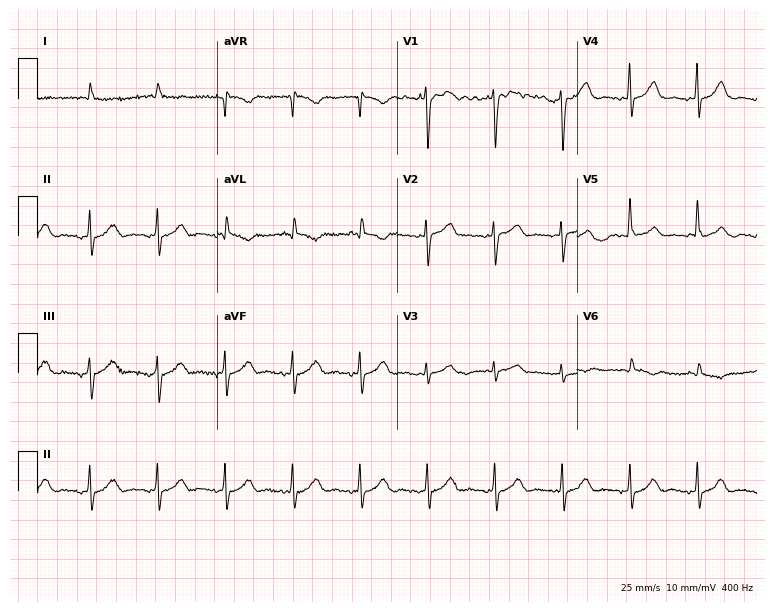
12-lead ECG from a man, 83 years old. Screened for six findings — first-degree AV block, right bundle branch block (RBBB), left bundle branch block (LBBB), sinus bradycardia, atrial fibrillation (AF), sinus tachycardia — none is recorded.